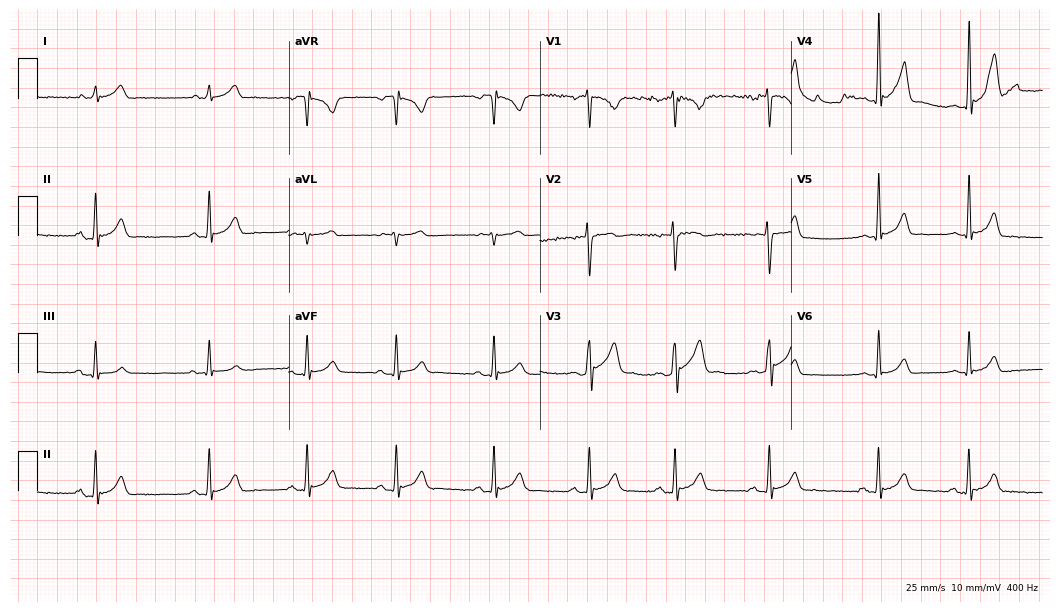
12-lead ECG from a male, 24 years old. Recorded interpretation: within normal limits.